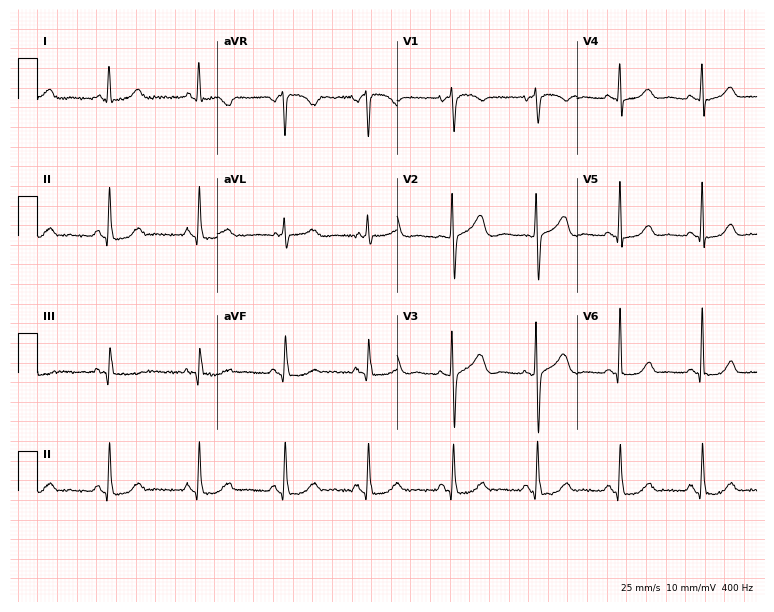
ECG — a 68-year-old female patient. Screened for six findings — first-degree AV block, right bundle branch block, left bundle branch block, sinus bradycardia, atrial fibrillation, sinus tachycardia — none is recorded. Findings outside these six are not listed.